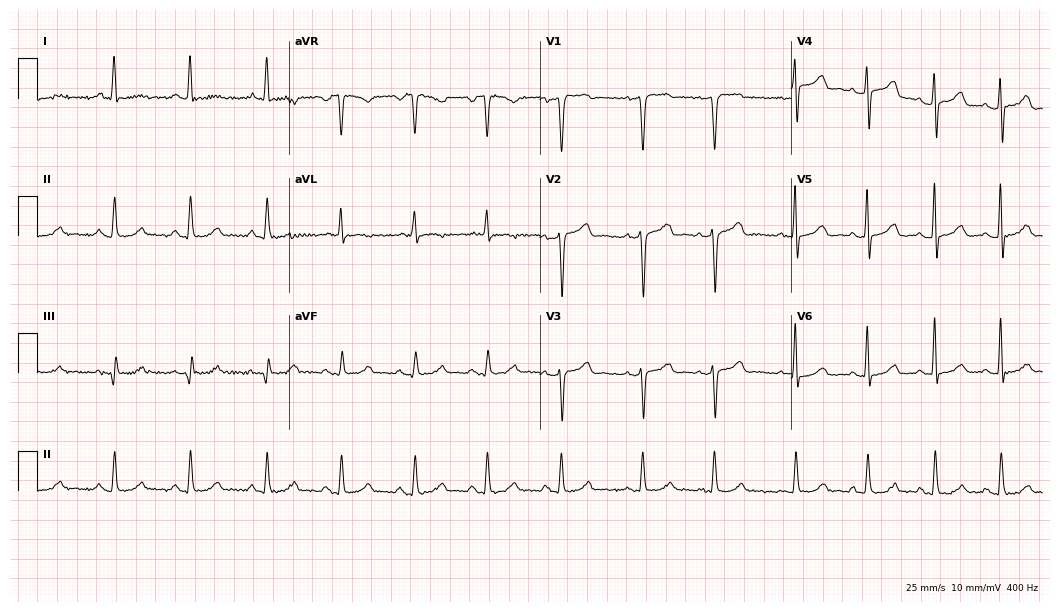
Standard 12-lead ECG recorded from a female, 52 years old (10.2-second recording at 400 Hz). Read as a normal ECG.